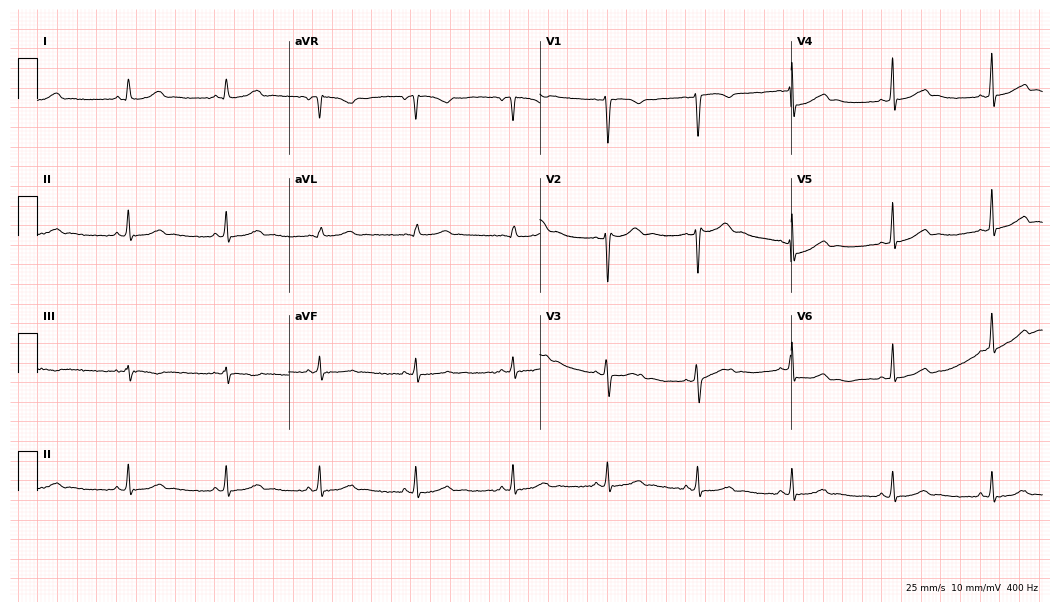
Standard 12-lead ECG recorded from a 31-year-old woman (10.2-second recording at 400 Hz). Read as a normal ECG.